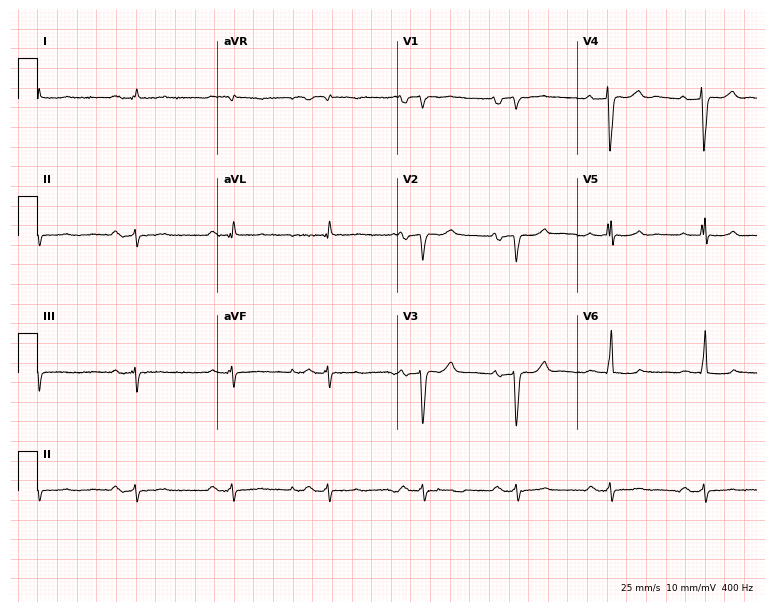
Resting 12-lead electrocardiogram. Patient: a man, 47 years old. None of these six findings is recorded: first-degree AV block, right bundle branch block, left bundle branch block, sinus bradycardia, atrial fibrillation, sinus tachycardia.